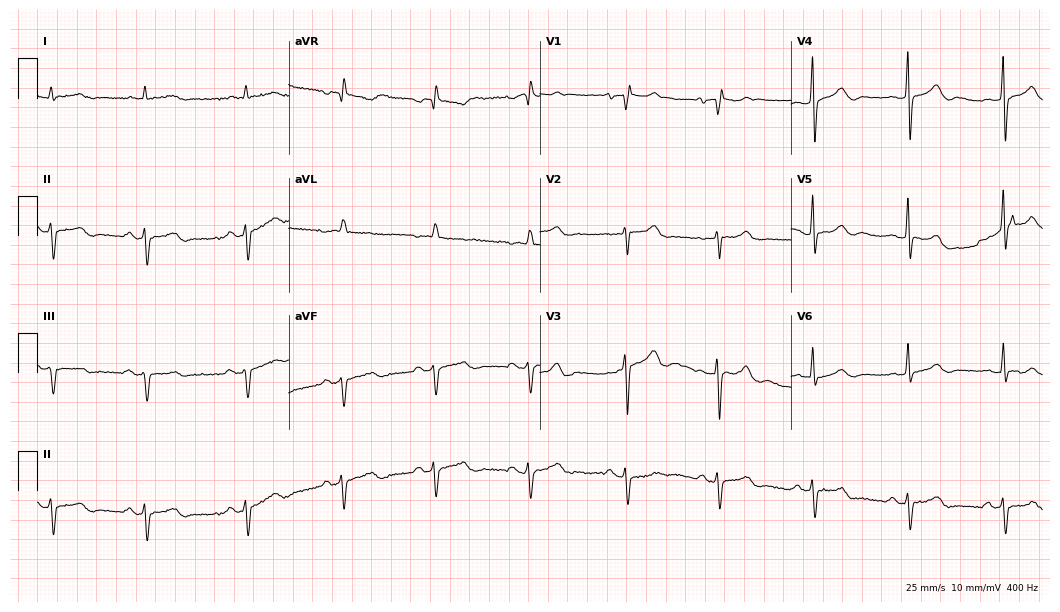
12-lead ECG from a 71-year-old male. Screened for six findings — first-degree AV block, right bundle branch block, left bundle branch block, sinus bradycardia, atrial fibrillation, sinus tachycardia — none is recorded.